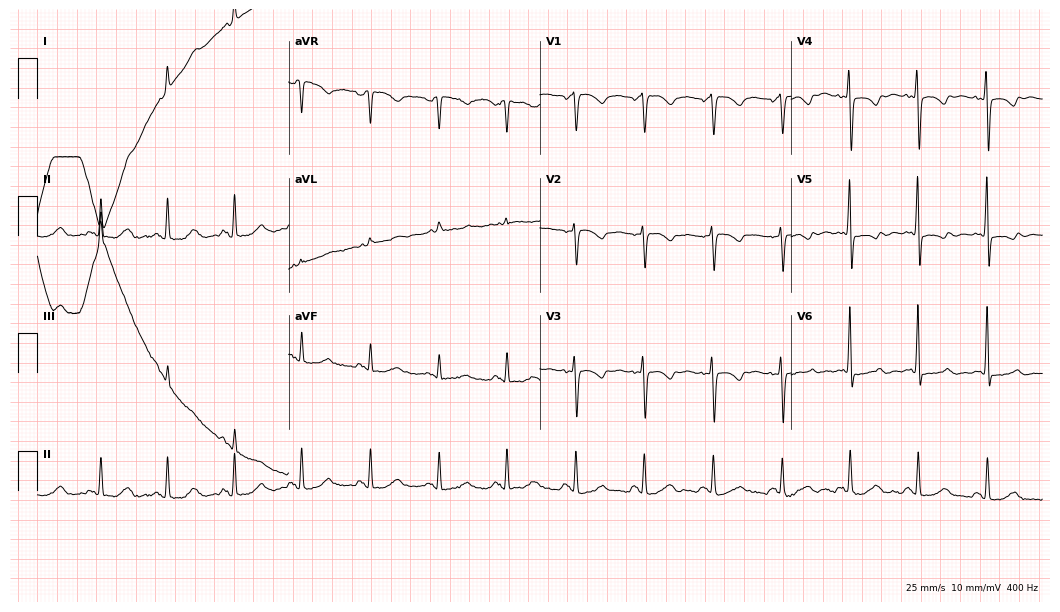
Standard 12-lead ECG recorded from a female, 74 years old (10.2-second recording at 400 Hz). None of these six findings is recorded: first-degree AV block, right bundle branch block (RBBB), left bundle branch block (LBBB), sinus bradycardia, atrial fibrillation (AF), sinus tachycardia.